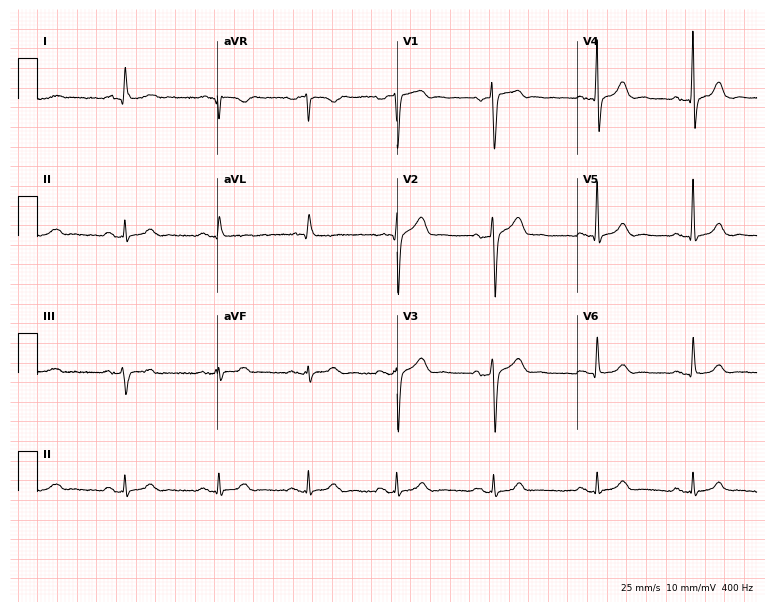
Resting 12-lead electrocardiogram. Patient: a 67-year-old male. None of these six findings is recorded: first-degree AV block, right bundle branch block, left bundle branch block, sinus bradycardia, atrial fibrillation, sinus tachycardia. Only these six findings were labelled.